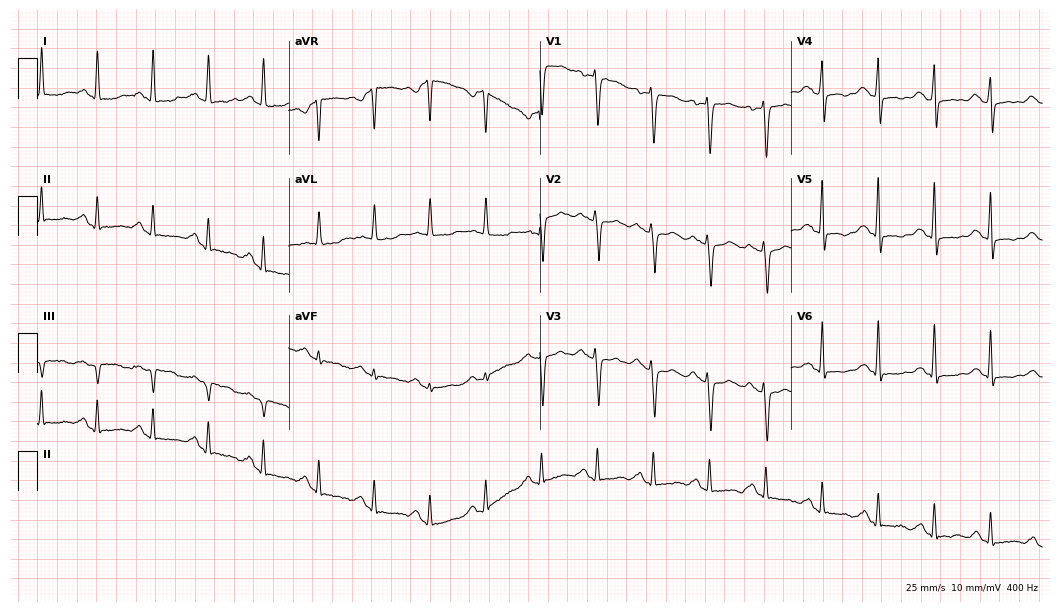
Electrocardiogram (10.2-second recording at 400 Hz), a 58-year-old female. Interpretation includes sinus tachycardia (a sinus rate of 100 beats per minute or more).